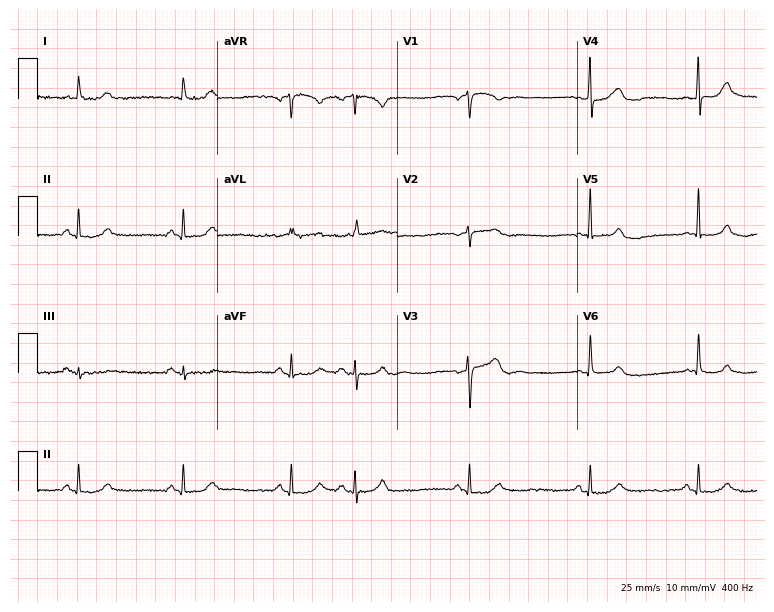
ECG — a man, 68 years old. Screened for six findings — first-degree AV block, right bundle branch block (RBBB), left bundle branch block (LBBB), sinus bradycardia, atrial fibrillation (AF), sinus tachycardia — none is recorded. Findings outside these six are not listed.